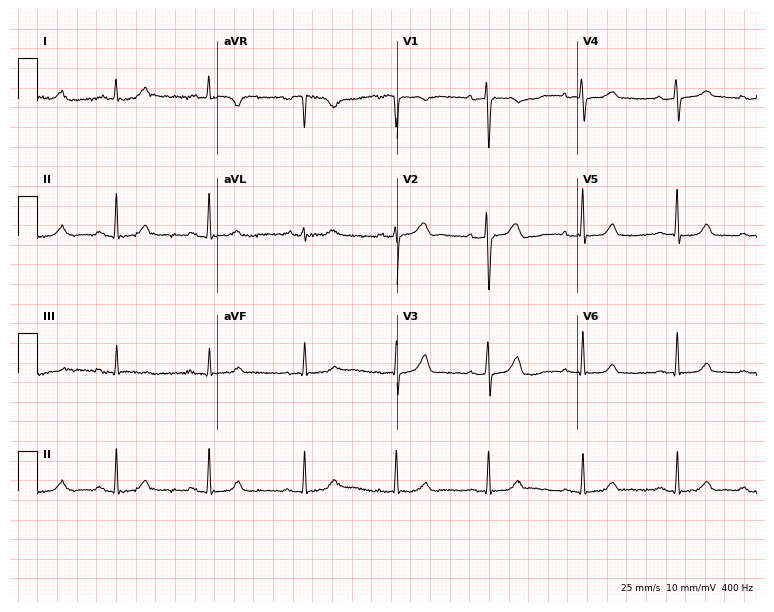
12-lead ECG (7.3-second recording at 400 Hz) from a female patient, 44 years old. Screened for six findings — first-degree AV block, right bundle branch block, left bundle branch block, sinus bradycardia, atrial fibrillation, sinus tachycardia — none is recorded.